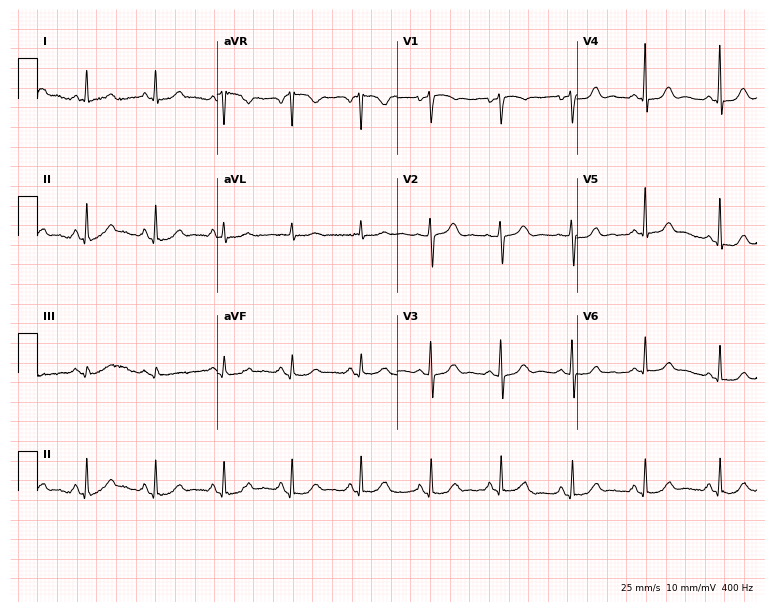
Standard 12-lead ECG recorded from a 71-year-old female (7.3-second recording at 400 Hz). Read as a normal ECG.